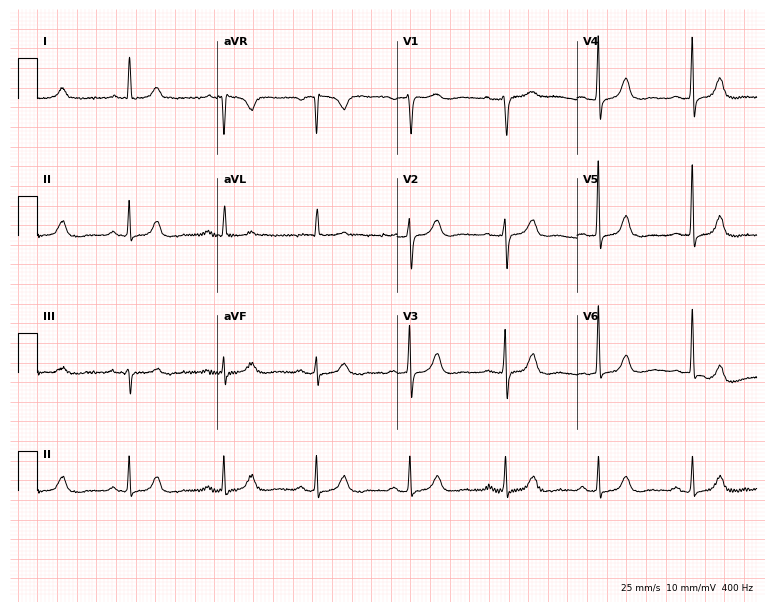
12-lead ECG (7.3-second recording at 400 Hz) from an 80-year-old female patient. Labelled as a normal ECG.